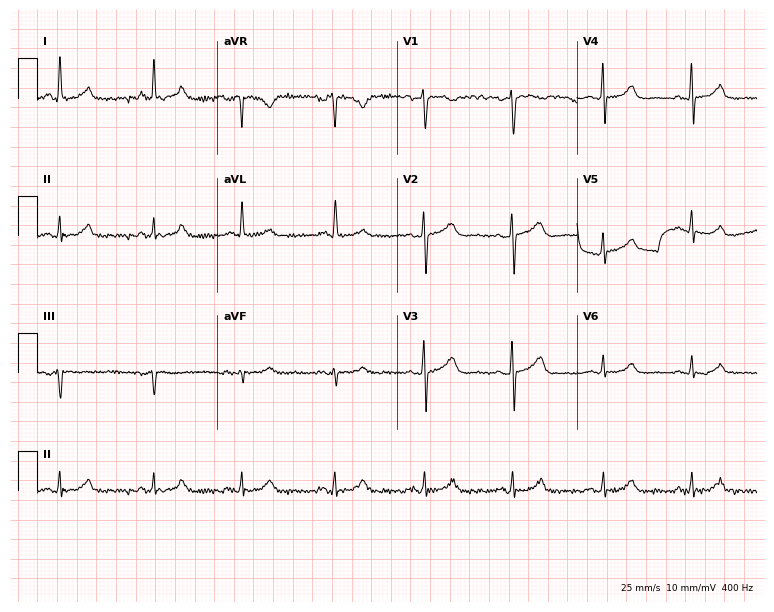
12-lead ECG from a 40-year-old woman (7.3-second recording at 400 Hz). Recorded interpretation: within normal limits.